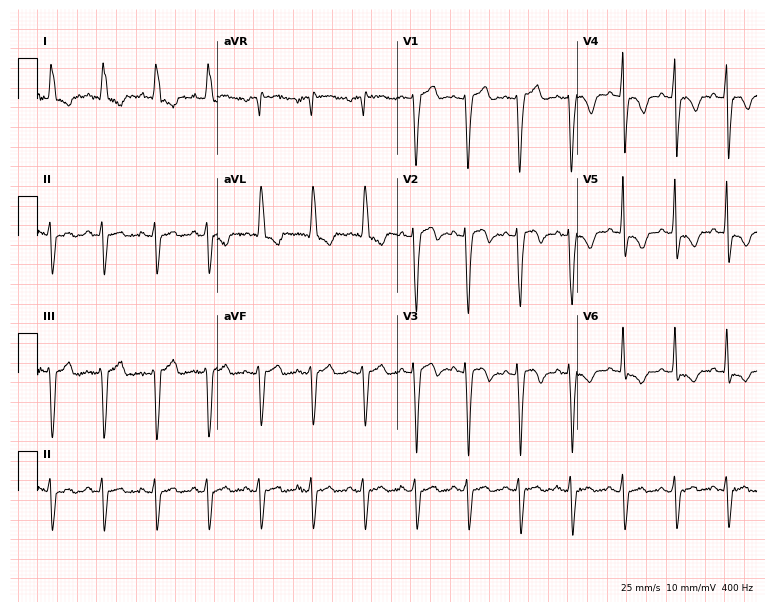
Electrocardiogram, a female patient, 85 years old. Interpretation includes sinus tachycardia (a sinus rate of 100 beats per minute or more).